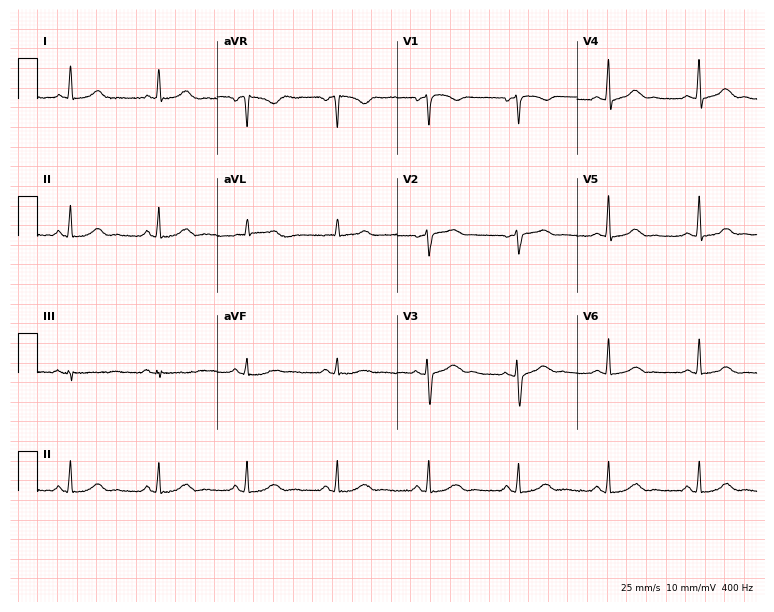
Resting 12-lead electrocardiogram. Patient: a woman, 53 years old. None of these six findings is recorded: first-degree AV block, right bundle branch block, left bundle branch block, sinus bradycardia, atrial fibrillation, sinus tachycardia.